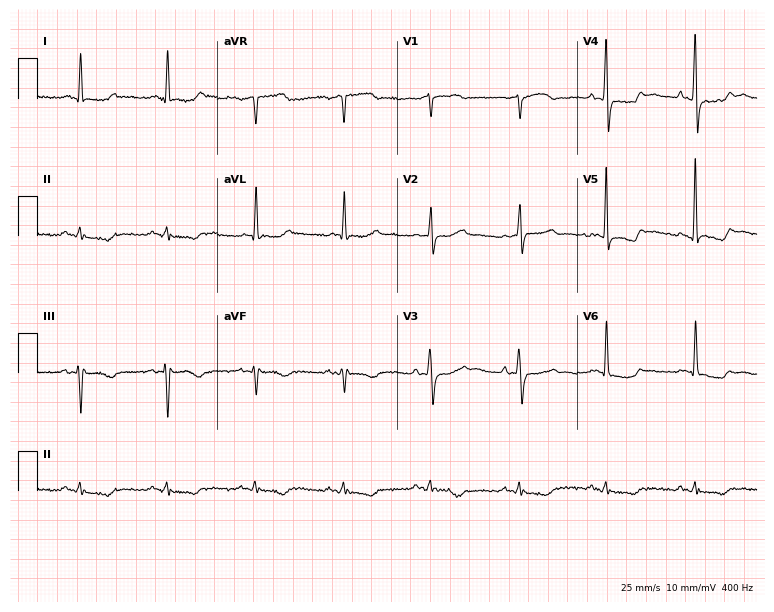
Resting 12-lead electrocardiogram. Patient: an 84-year-old male. None of these six findings is recorded: first-degree AV block, right bundle branch block, left bundle branch block, sinus bradycardia, atrial fibrillation, sinus tachycardia. Other findings, if any, are not listed.